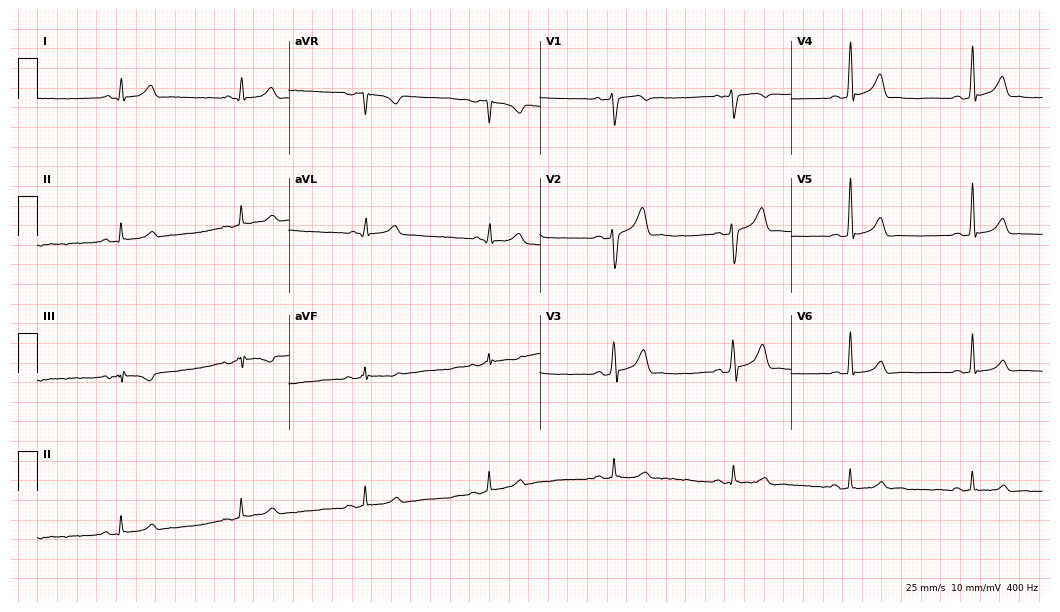
Standard 12-lead ECG recorded from a male, 34 years old (10.2-second recording at 400 Hz). None of these six findings is recorded: first-degree AV block, right bundle branch block, left bundle branch block, sinus bradycardia, atrial fibrillation, sinus tachycardia.